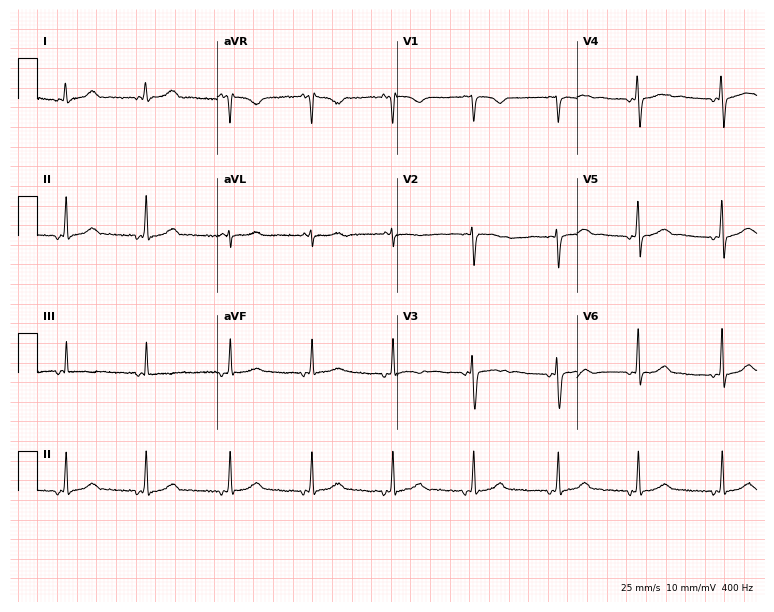
Standard 12-lead ECG recorded from a 30-year-old female (7.3-second recording at 400 Hz). Read as a normal ECG.